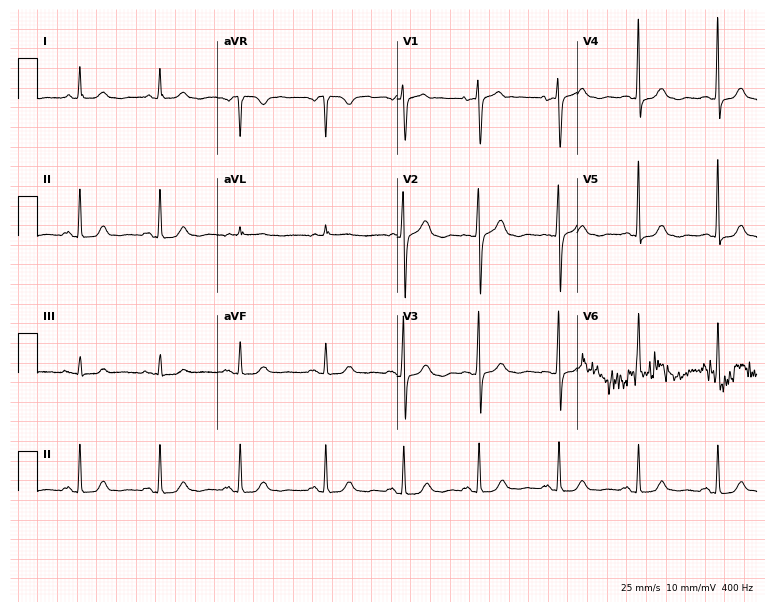
Standard 12-lead ECG recorded from a 66-year-old female patient (7.3-second recording at 400 Hz). Read as a normal ECG.